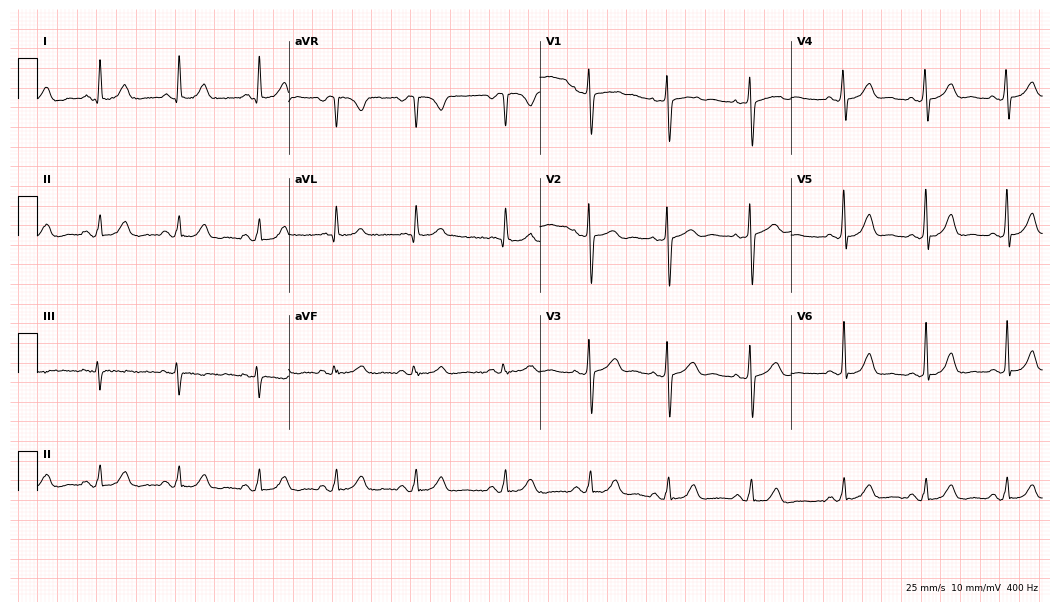
ECG (10.2-second recording at 400 Hz) — a female patient, 46 years old. Labelled as a normal ECG.